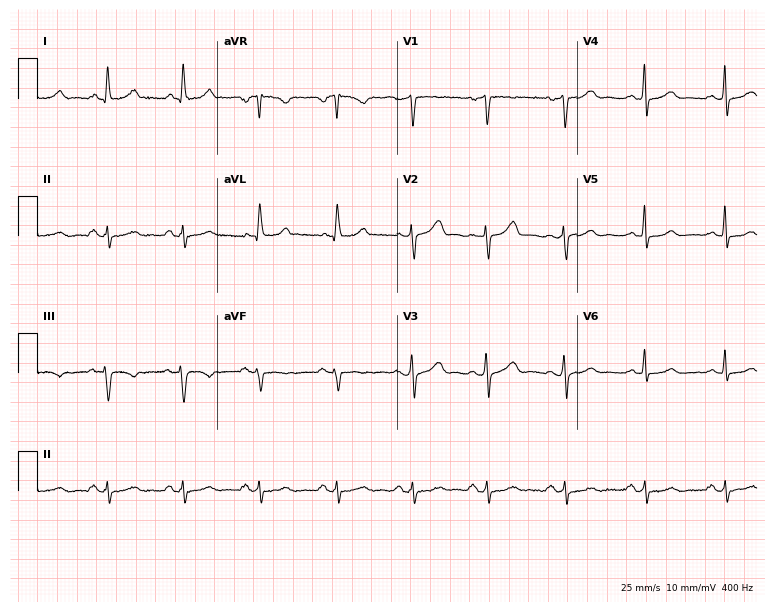
Standard 12-lead ECG recorded from a woman, 43 years old. Read as a normal ECG.